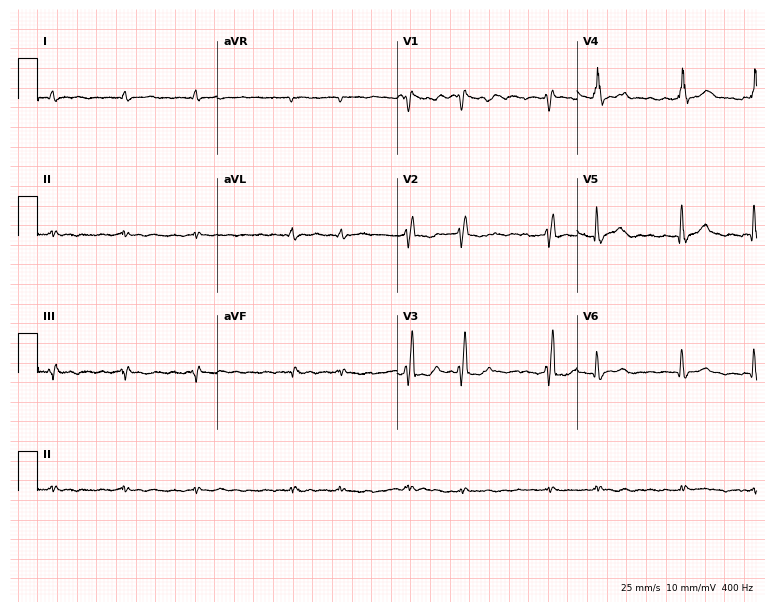
Electrocardiogram, a male patient, 75 years old. Interpretation includes atrial fibrillation.